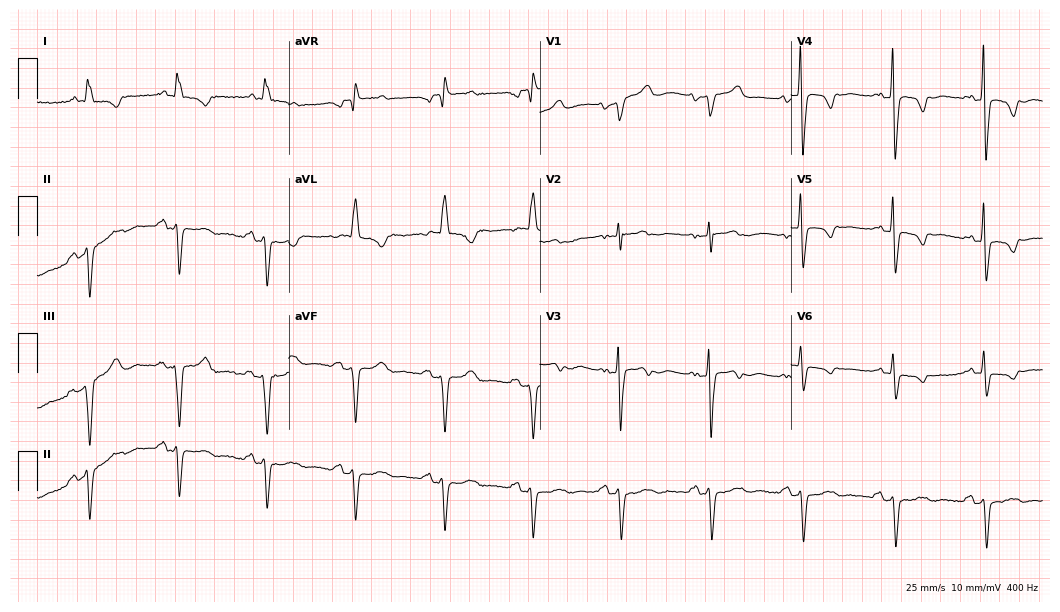
12-lead ECG from a female, 75 years old. No first-degree AV block, right bundle branch block, left bundle branch block, sinus bradycardia, atrial fibrillation or sinus tachycardia recorded for this tracing.